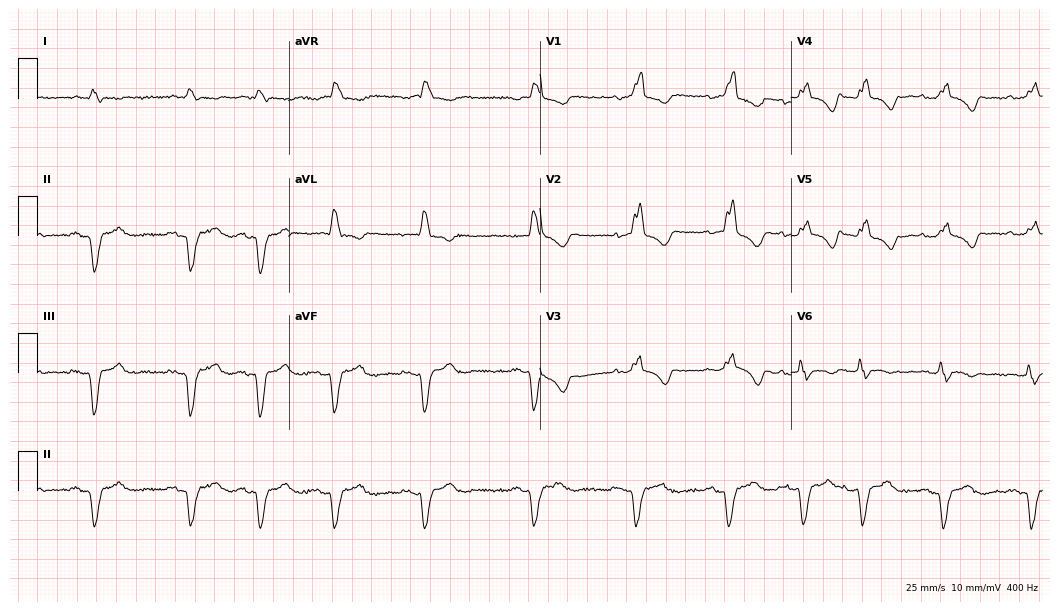
12-lead ECG from a male patient, 75 years old (10.2-second recording at 400 Hz). Shows right bundle branch block.